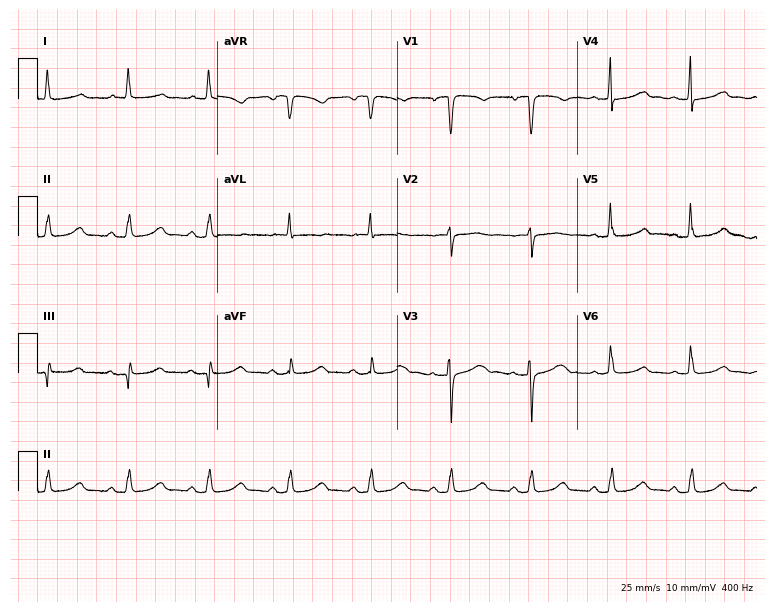
Electrocardiogram (7.3-second recording at 400 Hz), a 74-year-old female. Overall reading on record: normal ECG.